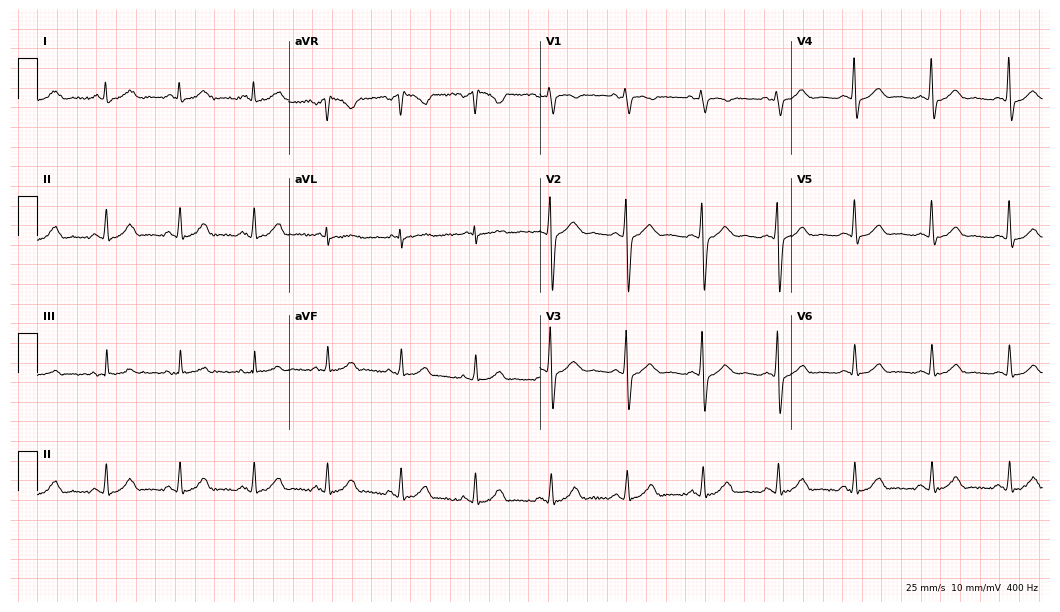
Electrocardiogram, a man, 48 years old. Of the six screened findings (first-degree AV block, right bundle branch block, left bundle branch block, sinus bradycardia, atrial fibrillation, sinus tachycardia), none is recorded. Findings outside these six are not listed.